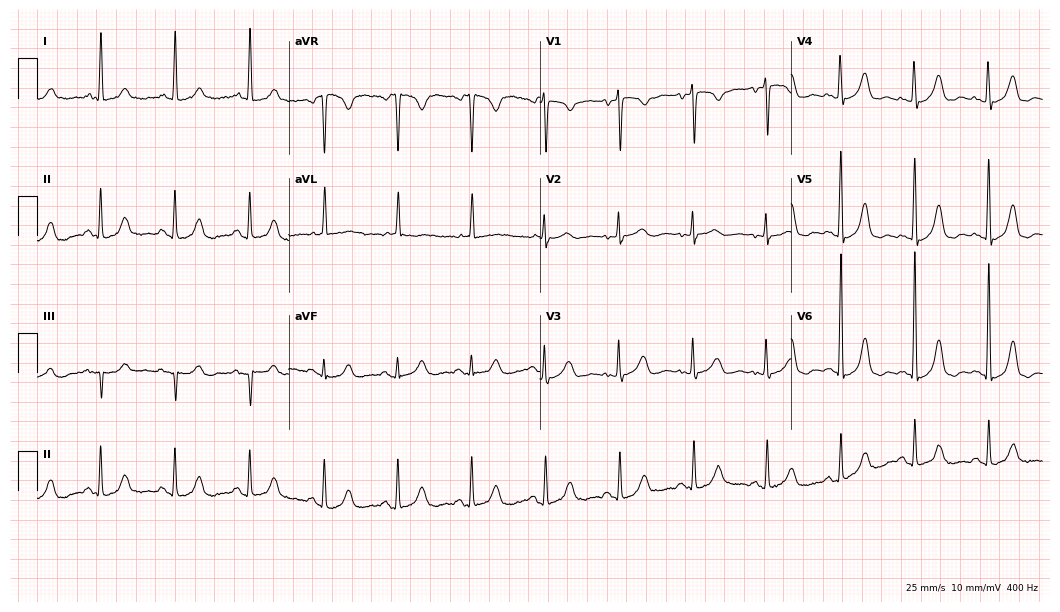
Standard 12-lead ECG recorded from an 82-year-old woman (10.2-second recording at 400 Hz). Read as a normal ECG.